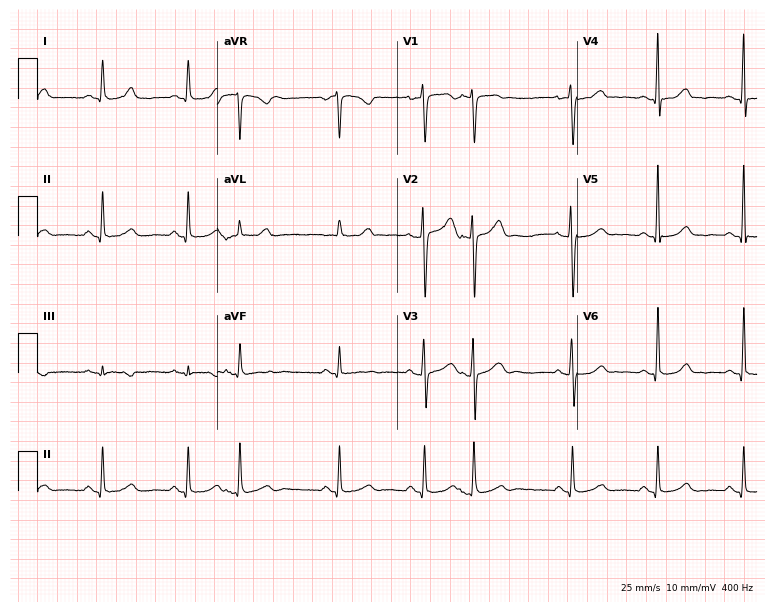
Resting 12-lead electrocardiogram (7.3-second recording at 400 Hz). Patient: a female, 62 years old. Read as a normal ECG.